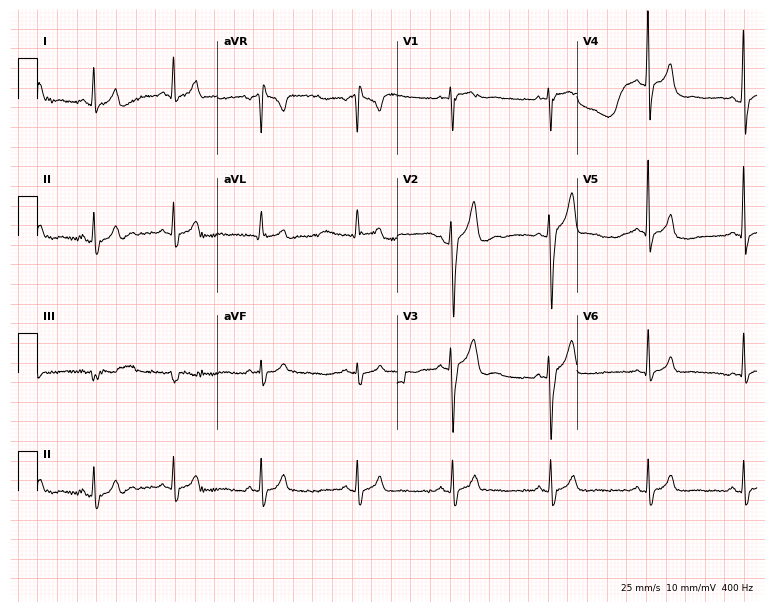
Electrocardiogram, a male, 29 years old. Of the six screened findings (first-degree AV block, right bundle branch block (RBBB), left bundle branch block (LBBB), sinus bradycardia, atrial fibrillation (AF), sinus tachycardia), none is recorded. Only these six findings were labelled.